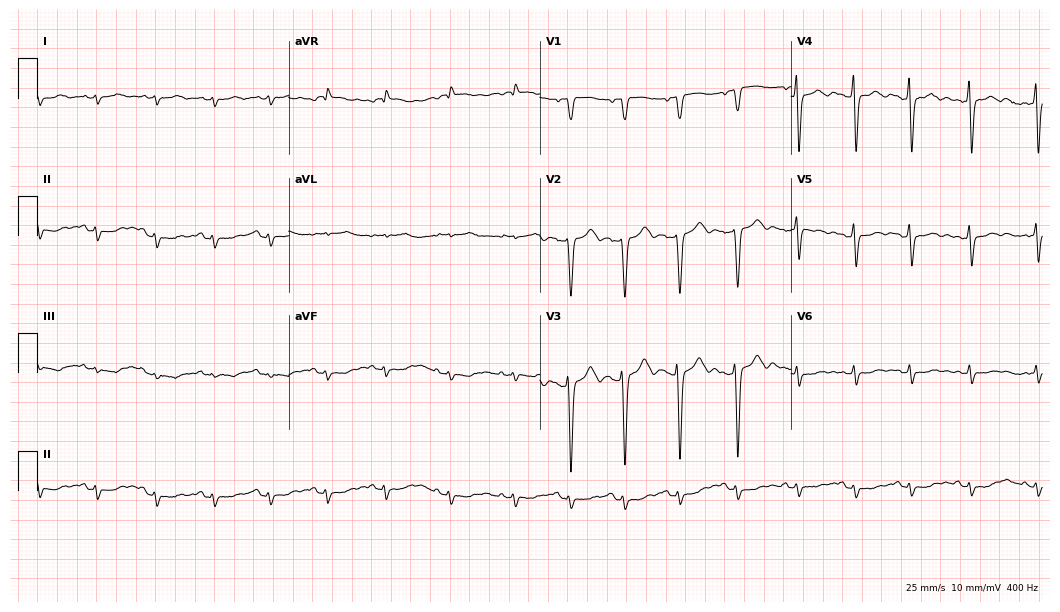
ECG — a 38-year-old female patient. Screened for six findings — first-degree AV block, right bundle branch block, left bundle branch block, sinus bradycardia, atrial fibrillation, sinus tachycardia — none is recorded.